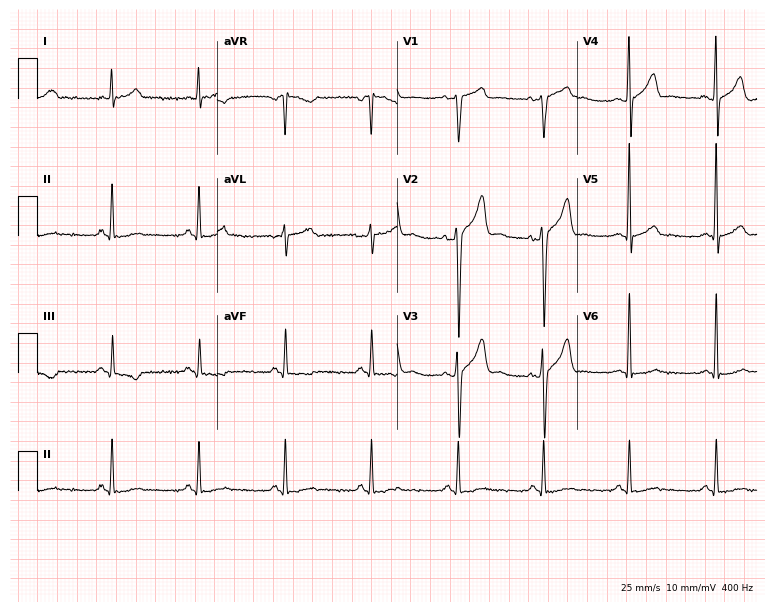
12-lead ECG from a 44-year-old man. No first-degree AV block, right bundle branch block (RBBB), left bundle branch block (LBBB), sinus bradycardia, atrial fibrillation (AF) or sinus tachycardia recorded for this tracing.